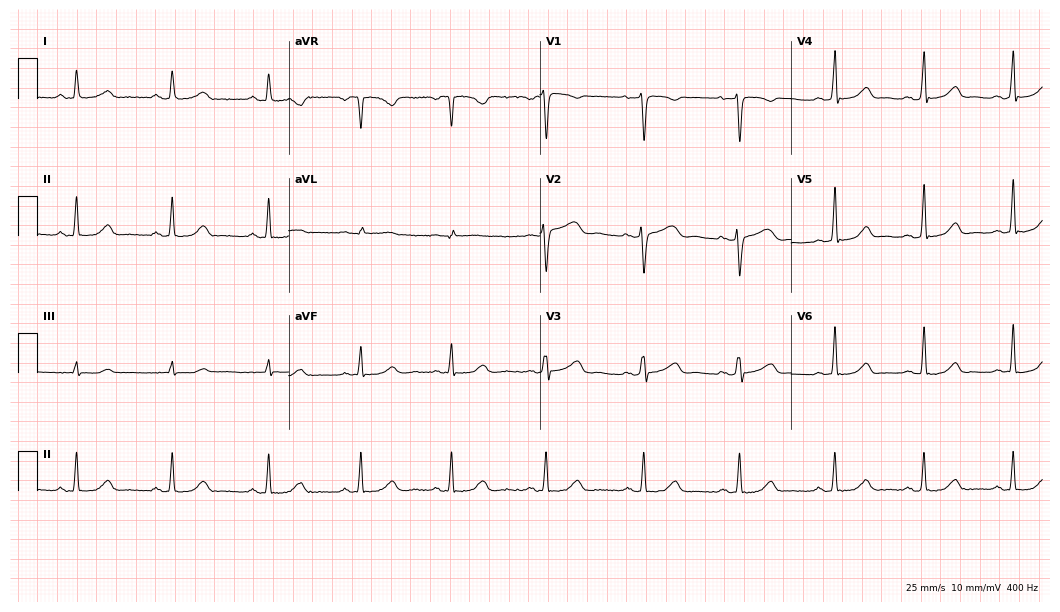
Standard 12-lead ECG recorded from a woman, 52 years old. Read as a normal ECG.